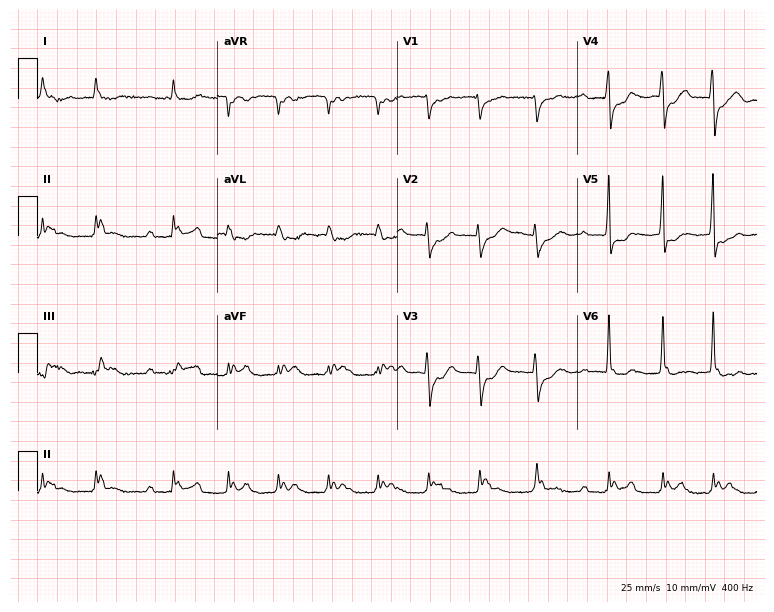
Standard 12-lead ECG recorded from a man, 82 years old (7.3-second recording at 400 Hz). The tracing shows left bundle branch block.